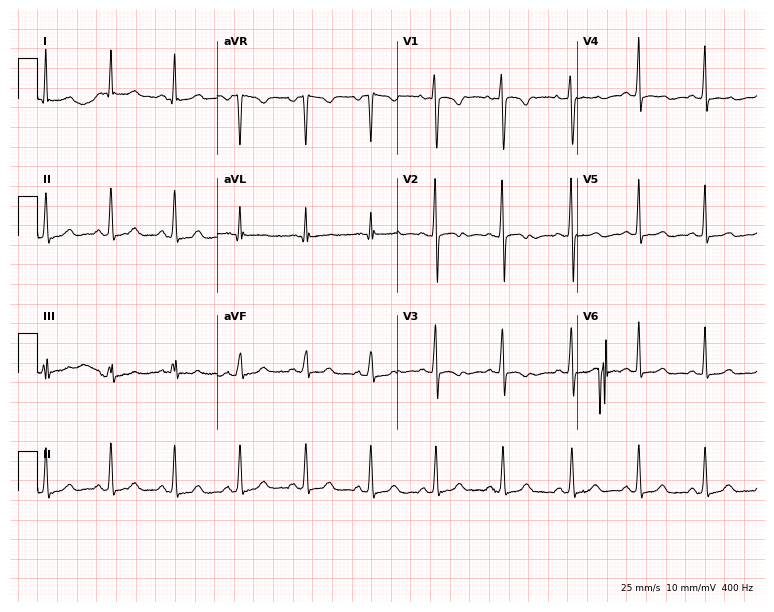
12-lead ECG from a 30-year-old female patient. No first-degree AV block, right bundle branch block, left bundle branch block, sinus bradycardia, atrial fibrillation or sinus tachycardia recorded for this tracing. Only these six findings were labelled.